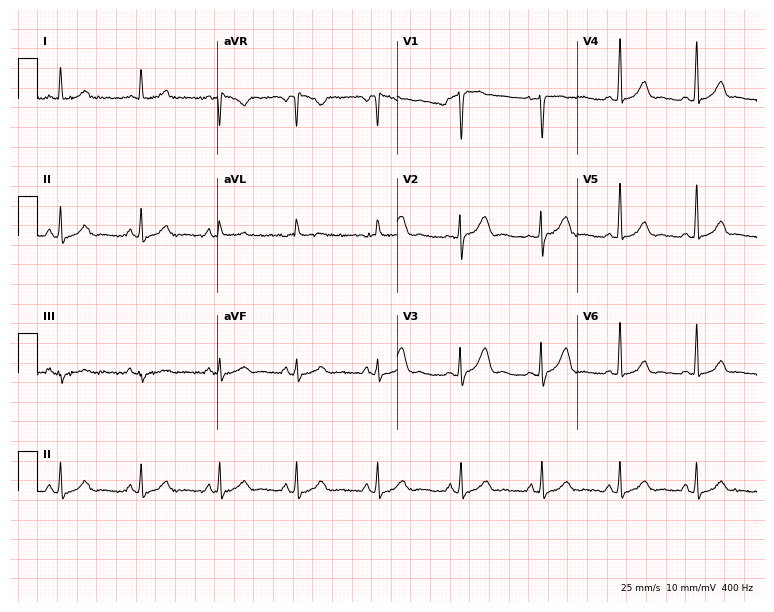
ECG (7.3-second recording at 400 Hz) — a 31-year-old female patient. Labelled as a normal ECG.